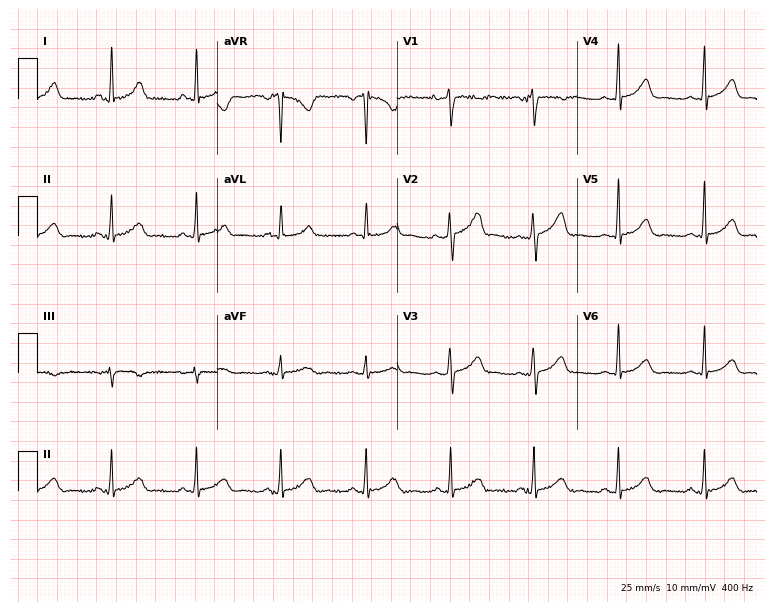
12-lead ECG from a female, 58 years old. Recorded interpretation: within normal limits.